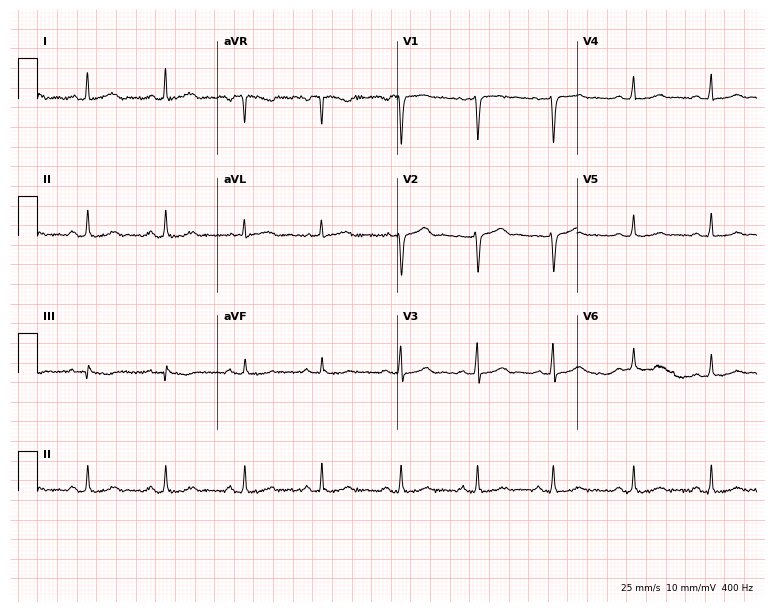
Resting 12-lead electrocardiogram. Patient: a female, 38 years old. Read as a normal ECG.